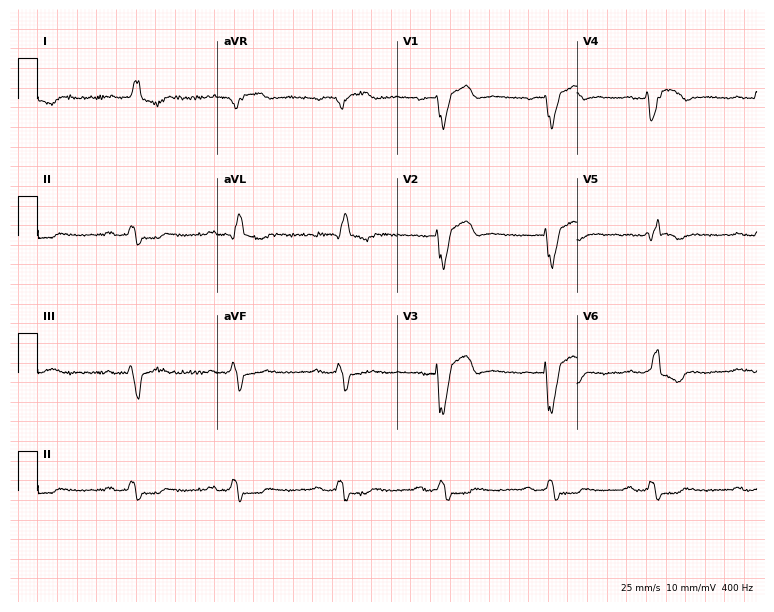
Standard 12-lead ECG recorded from an 87-year-old male (7.3-second recording at 400 Hz). The tracing shows first-degree AV block, left bundle branch block.